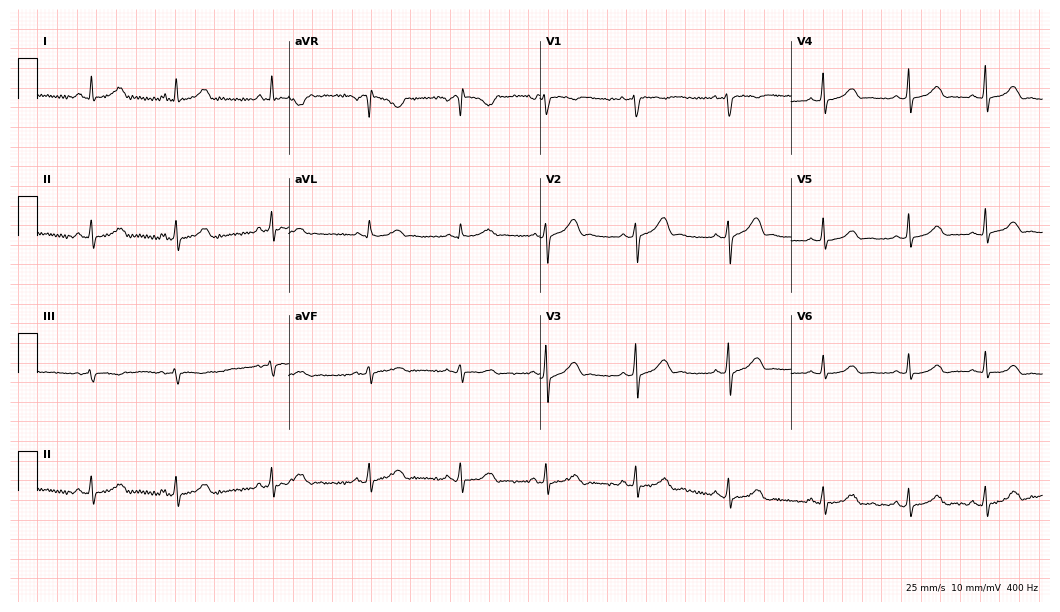
Resting 12-lead electrocardiogram. Patient: a female, 29 years old. Read as a normal ECG.